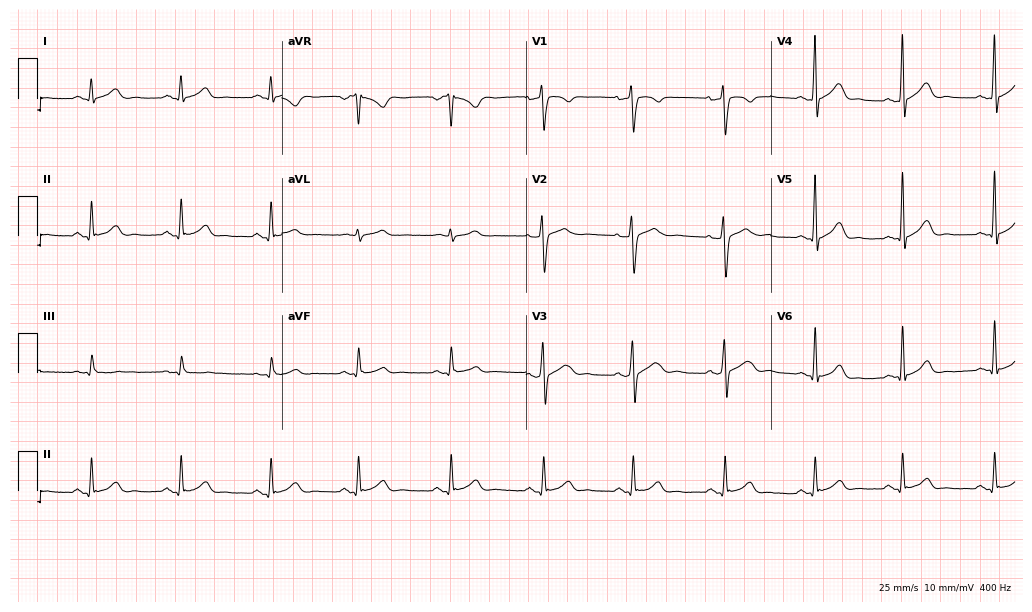
12-lead ECG from a 35-year-old man (10-second recording at 400 Hz). Recorded interpretation: within normal limits.